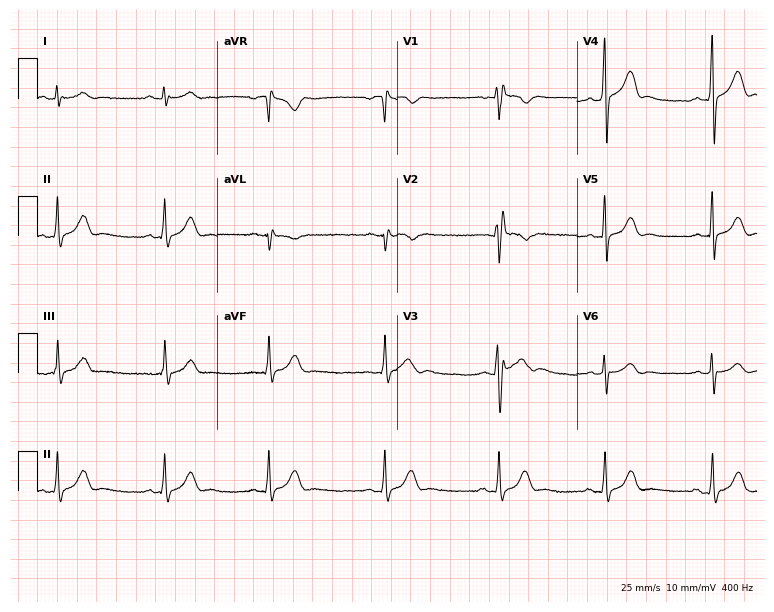
Electrocardiogram (7.3-second recording at 400 Hz), a 23-year-old male patient. Of the six screened findings (first-degree AV block, right bundle branch block (RBBB), left bundle branch block (LBBB), sinus bradycardia, atrial fibrillation (AF), sinus tachycardia), none is recorded. Findings outside these six are not listed.